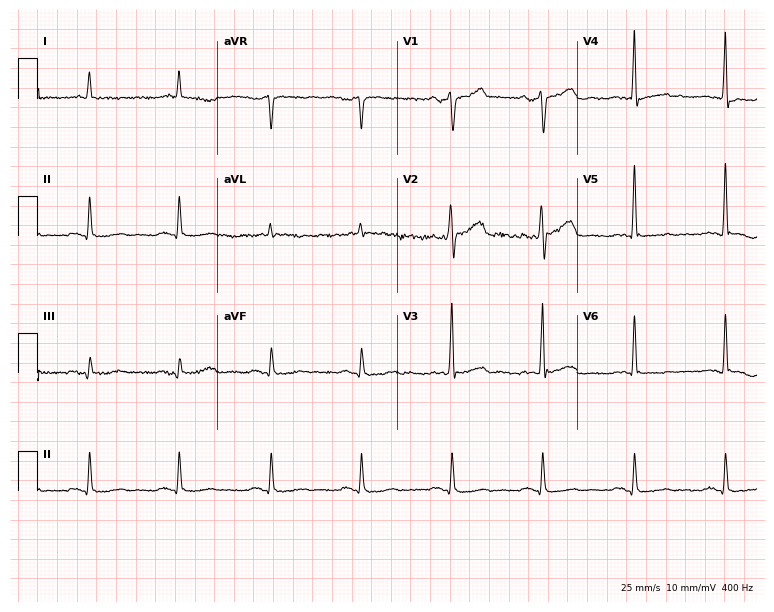
ECG (7.3-second recording at 400 Hz) — a male, 66 years old. Screened for six findings — first-degree AV block, right bundle branch block, left bundle branch block, sinus bradycardia, atrial fibrillation, sinus tachycardia — none is recorded. Findings outside these six are not listed.